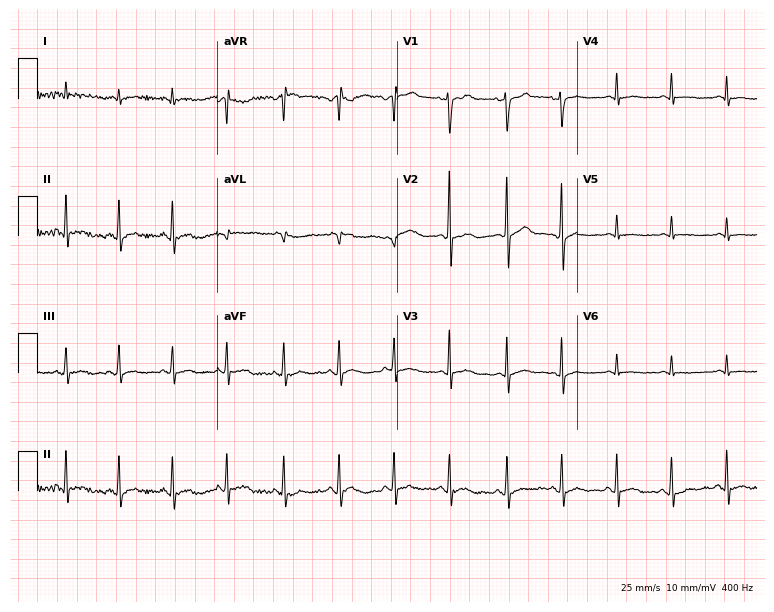
Resting 12-lead electrocardiogram (7.3-second recording at 400 Hz). Patient: a 35-year-old male. None of these six findings is recorded: first-degree AV block, right bundle branch block, left bundle branch block, sinus bradycardia, atrial fibrillation, sinus tachycardia.